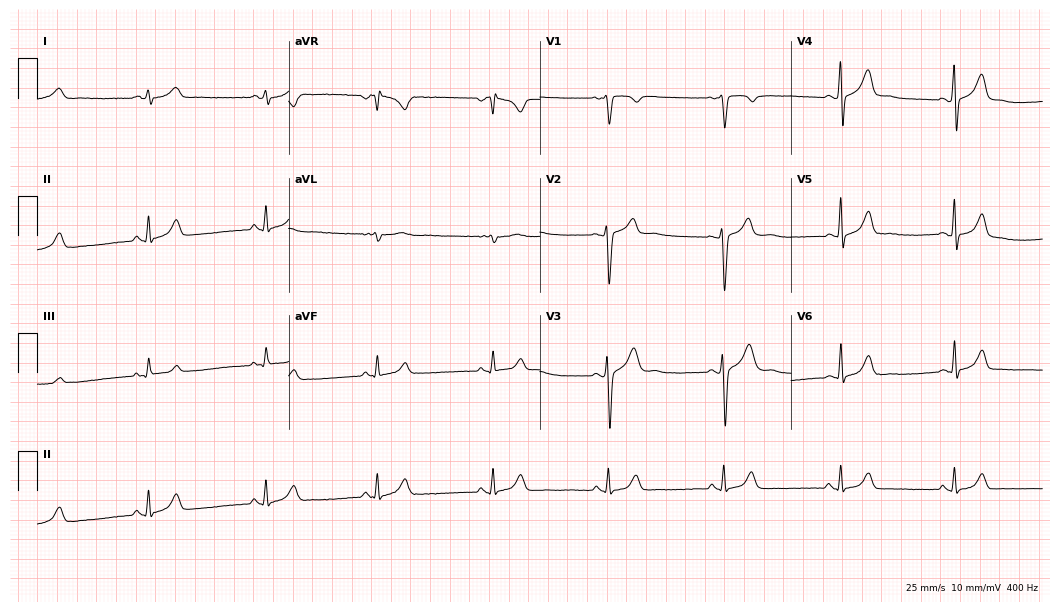
ECG (10.2-second recording at 400 Hz) — a 33-year-old man. Screened for six findings — first-degree AV block, right bundle branch block, left bundle branch block, sinus bradycardia, atrial fibrillation, sinus tachycardia — none is recorded.